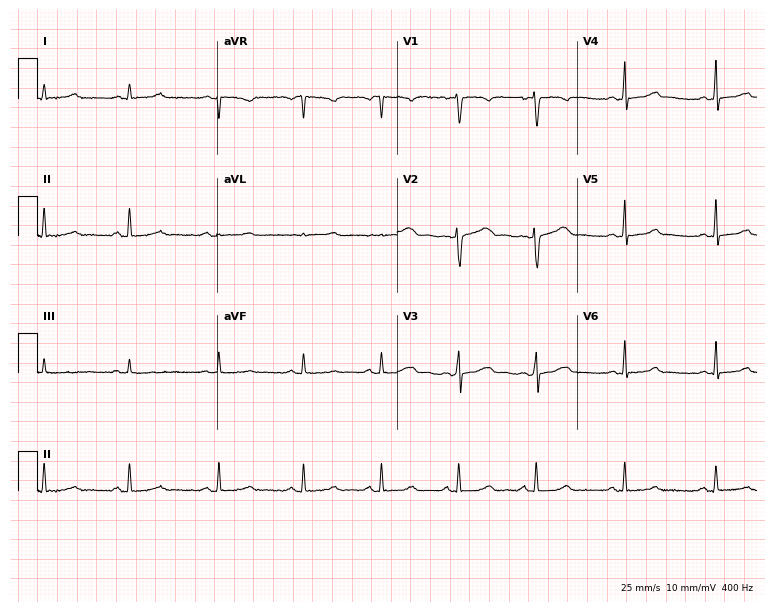
ECG — a 34-year-old female. Labelled as a normal ECG.